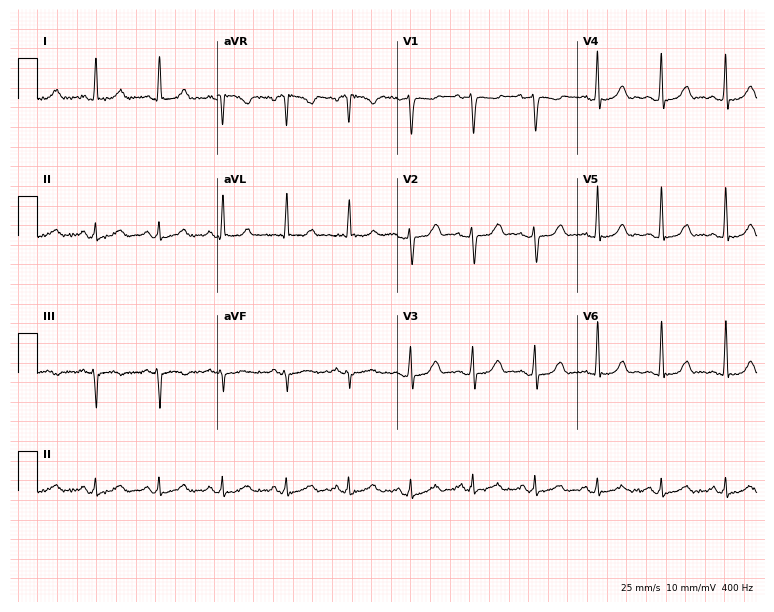
12-lead ECG from a female patient, 37 years old. Screened for six findings — first-degree AV block, right bundle branch block, left bundle branch block, sinus bradycardia, atrial fibrillation, sinus tachycardia — none is recorded. Findings outside these six are not listed.